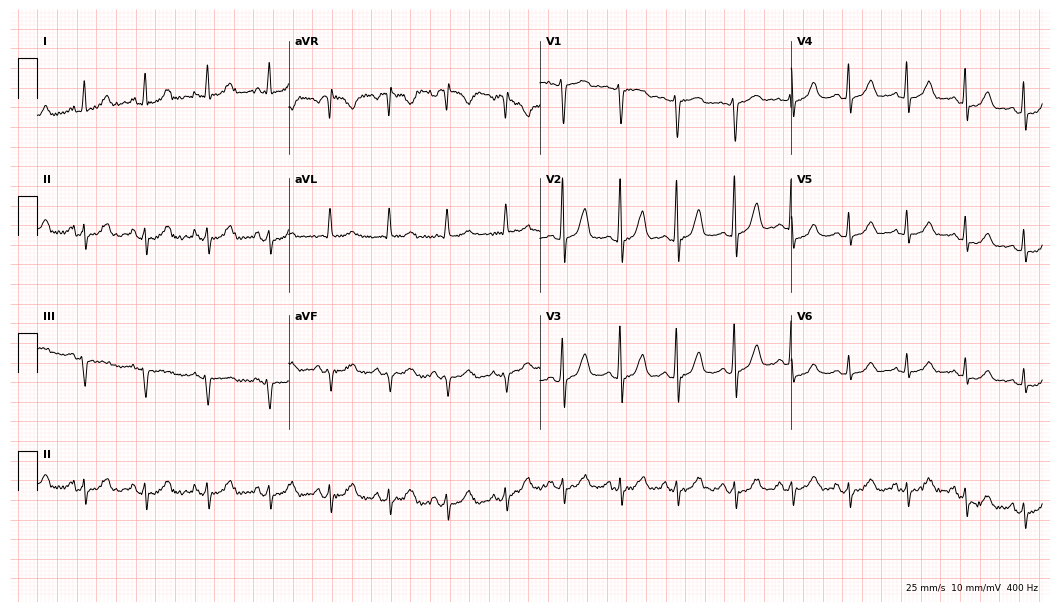
ECG (10.2-second recording at 400 Hz) — a woman, 82 years old. Screened for six findings — first-degree AV block, right bundle branch block, left bundle branch block, sinus bradycardia, atrial fibrillation, sinus tachycardia — none is recorded. Only these six findings were labelled.